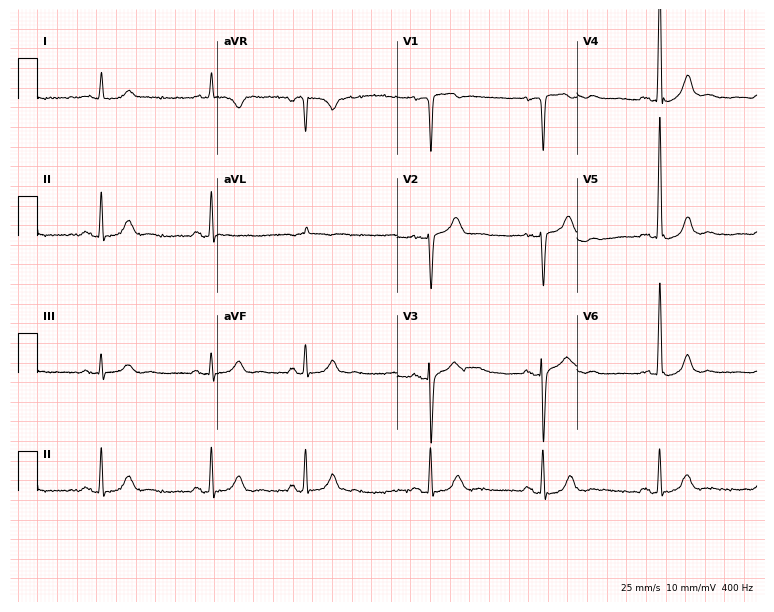
12-lead ECG from a 64-year-old man. Recorded interpretation: within normal limits.